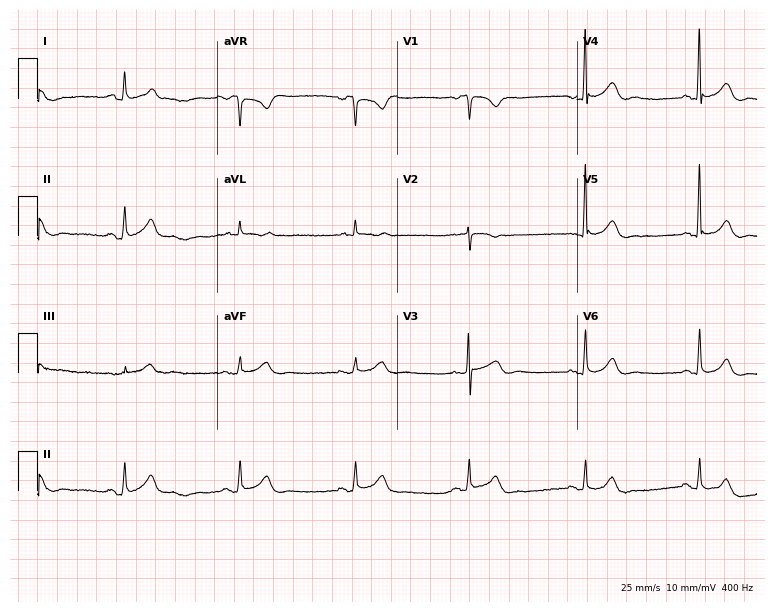
Electrocardiogram (7.3-second recording at 400 Hz), a female patient, 81 years old. Overall reading on record: normal ECG.